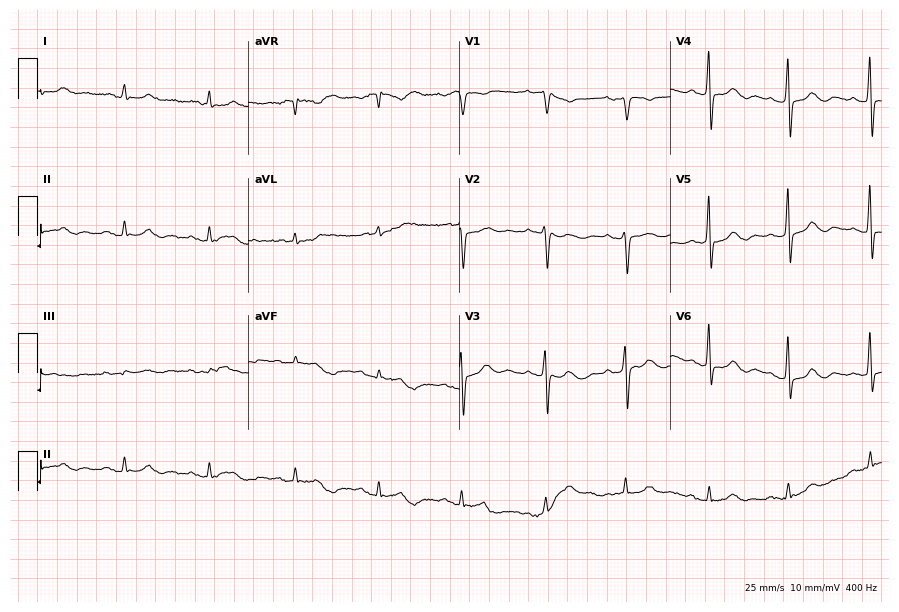
Electrocardiogram (8.6-second recording at 400 Hz), a male patient, 77 years old. Overall reading on record: normal ECG.